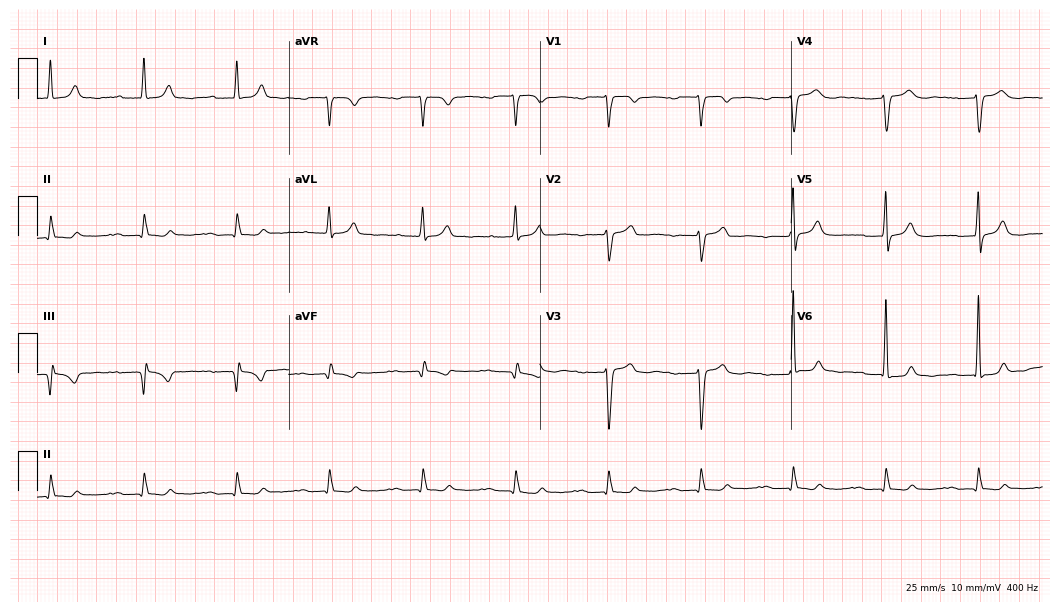
Standard 12-lead ECG recorded from an 80-year-old man (10.2-second recording at 400 Hz). The tracing shows first-degree AV block.